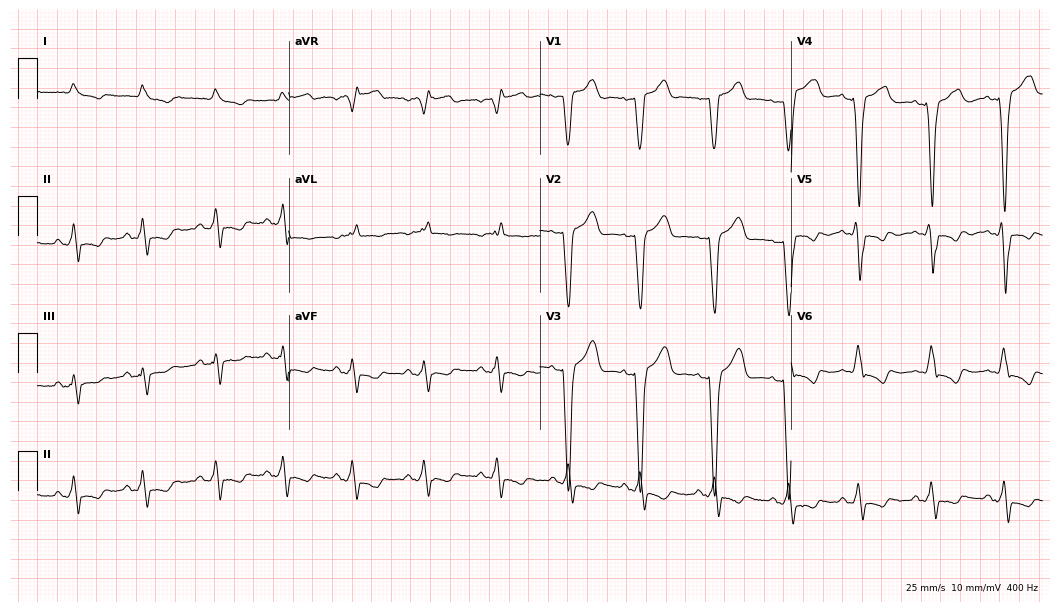
12-lead ECG (10.2-second recording at 400 Hz) from an 84-year-old male. Findings include left bundle branch block.